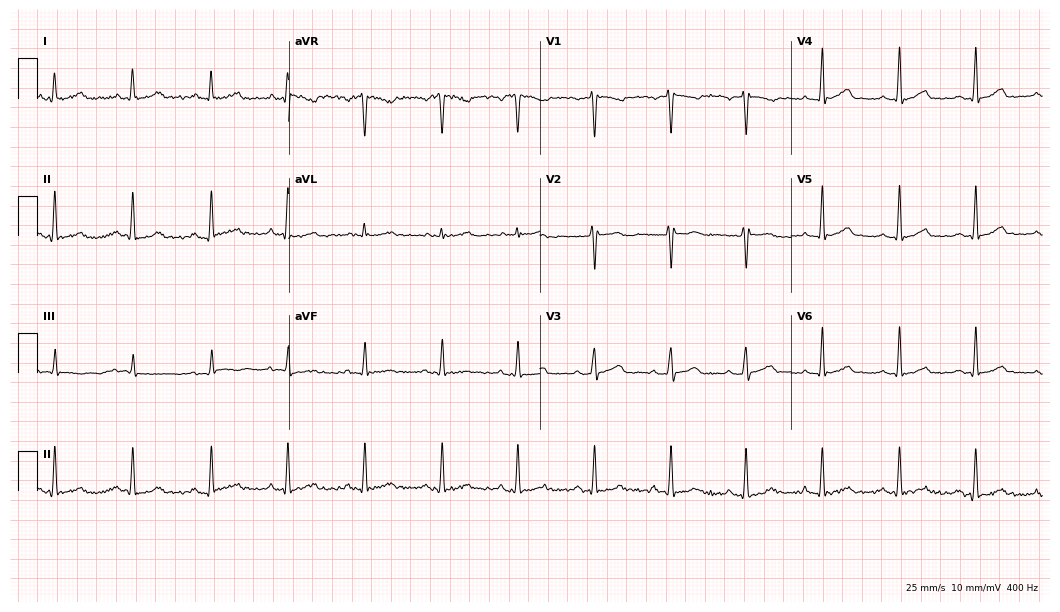
Resting 12-lead electrocardiogram. Patient: a 28-year-old female. Read as a normal ECG.